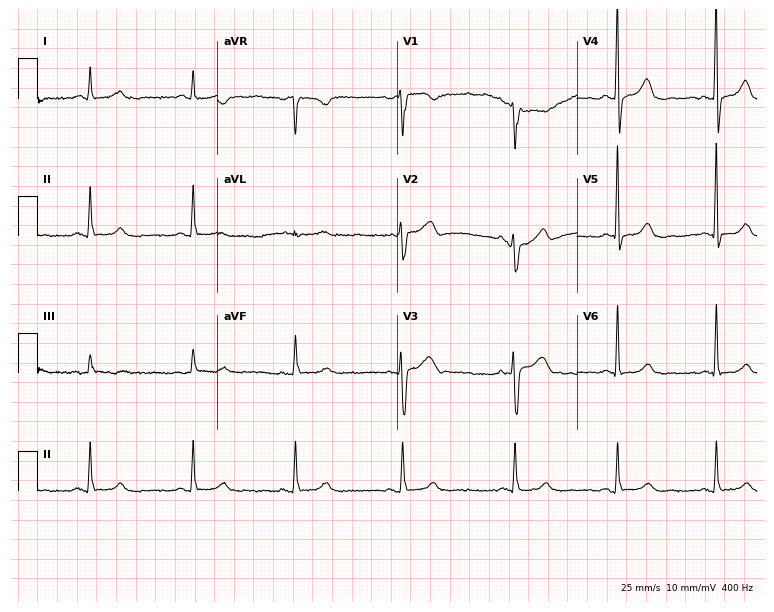
ECG — a female patient, 47 years old. Screened for six findings — first-degree AV block, right bundle branch block (RBBB), left bundle branch block (LBBB), sinus bradycardia, atrial fibrillation (AF), sinus tachycardia — none is recorded. Other findings, if any, are not listed.